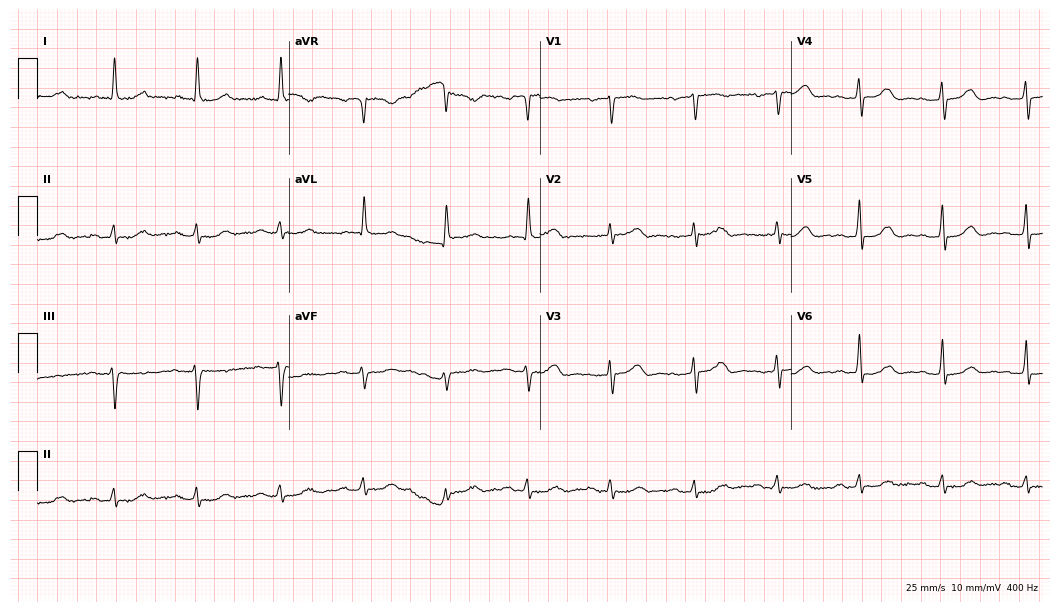
12-lead ECG from a 79-year-old woman. Labelled as a normal ECG.